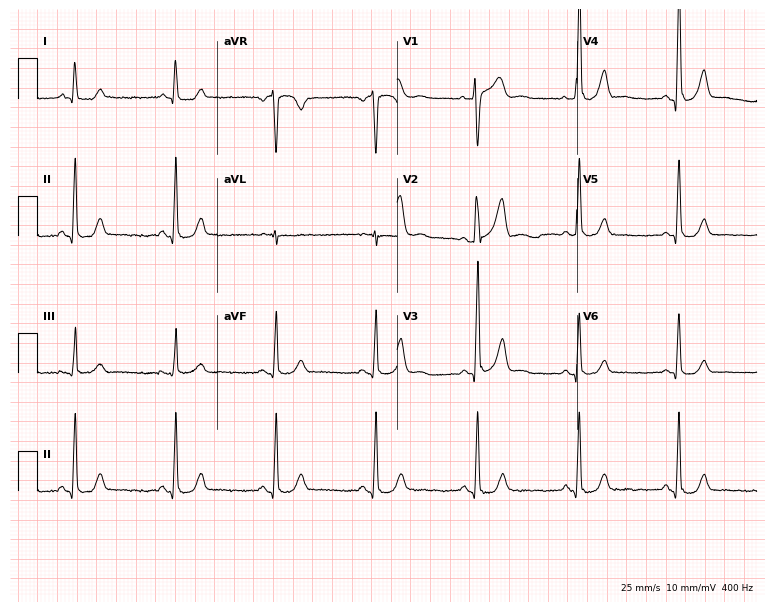
12-lead ECG (7.3-second recording at 400 Hz) from a male, 63 years old. Labelled as a normal ECG.